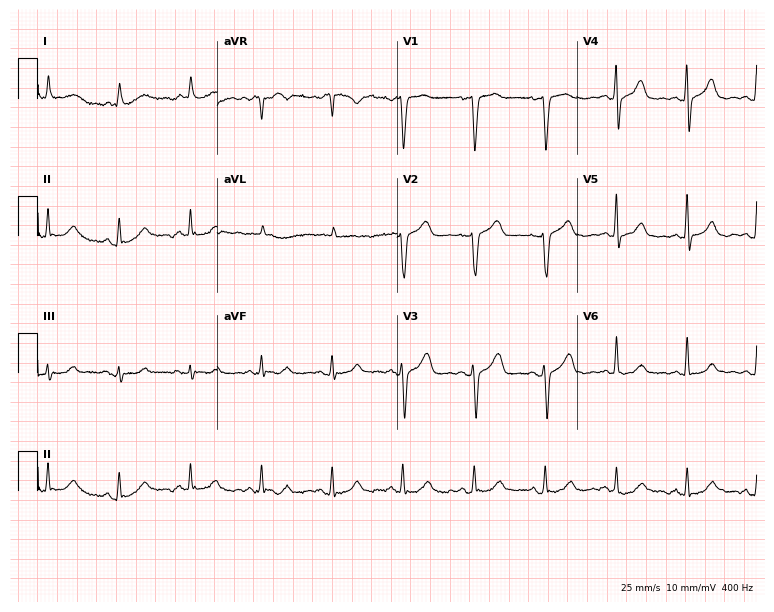
Electrocardiogram, a 53-year-old male patient. Overall reading on record: normal ECG.